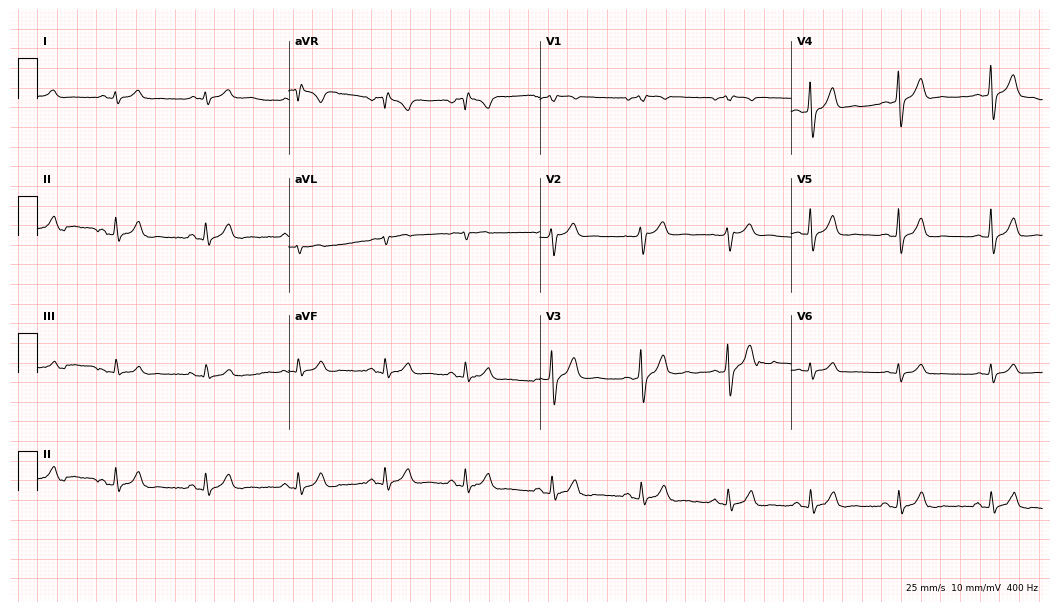
12-lead ECG from a 56-year-old man. No first-degree AV block, right bundle branch block (RBBB), left bundle branch block (LBBB), sinus bradycardia, atrial fibrillation (AF) or sinus tachycardia recorded for this tracing. Only these six findings were labelled.